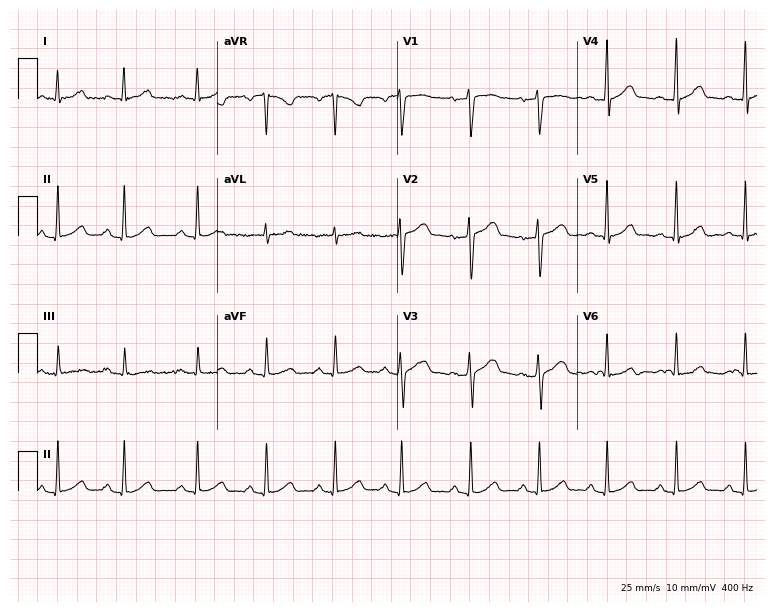
Electrocardiogram (7.3-second recording at 400 Hz), a 53-year-old man. Of the six screened findings (first-degree AV block, right bundle branch block (RBBB), left bundle branch block (LBBB), sinus bradycardia, atrial fibrillation (AF), sinus tachycardia), none is recorded. Only these six findings were labelled.